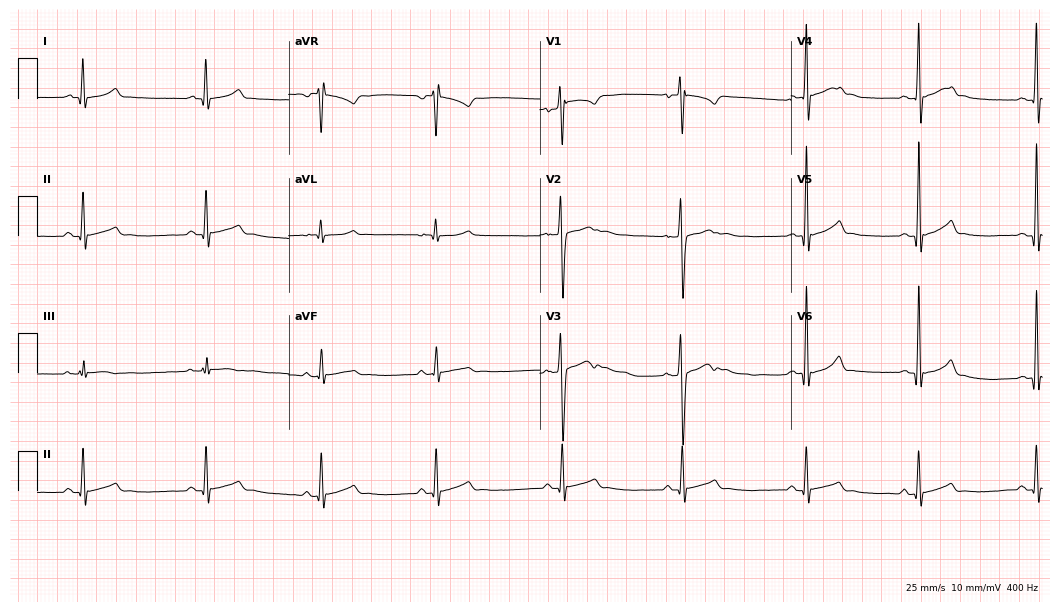
Electrocardiogram (10.2-second recording at 400 Hz), a male, 20 years old. Interpretation includes sinus bradycardia (a sinus rate of 50 beats per minute or less).